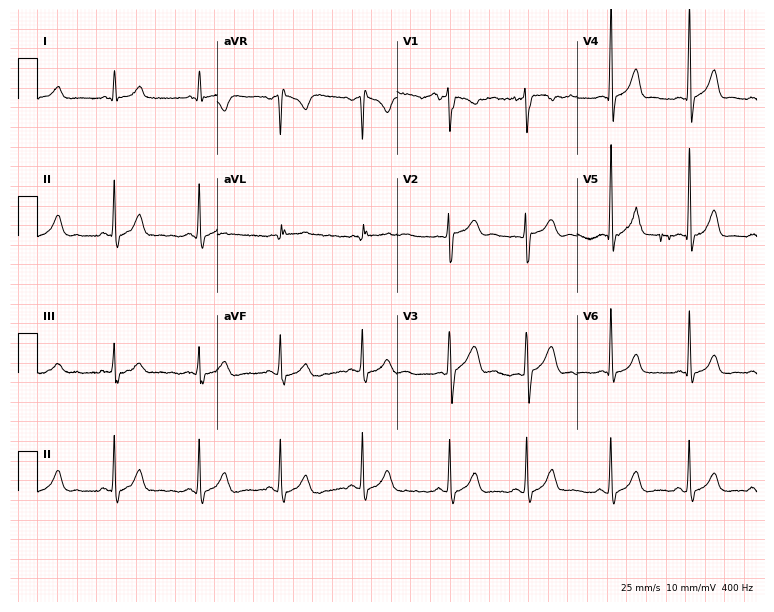
Standard 12-lead ECG recorded from a 23-year-old male (7.3-second recording at 400 Hz). Read as a normal ECG.